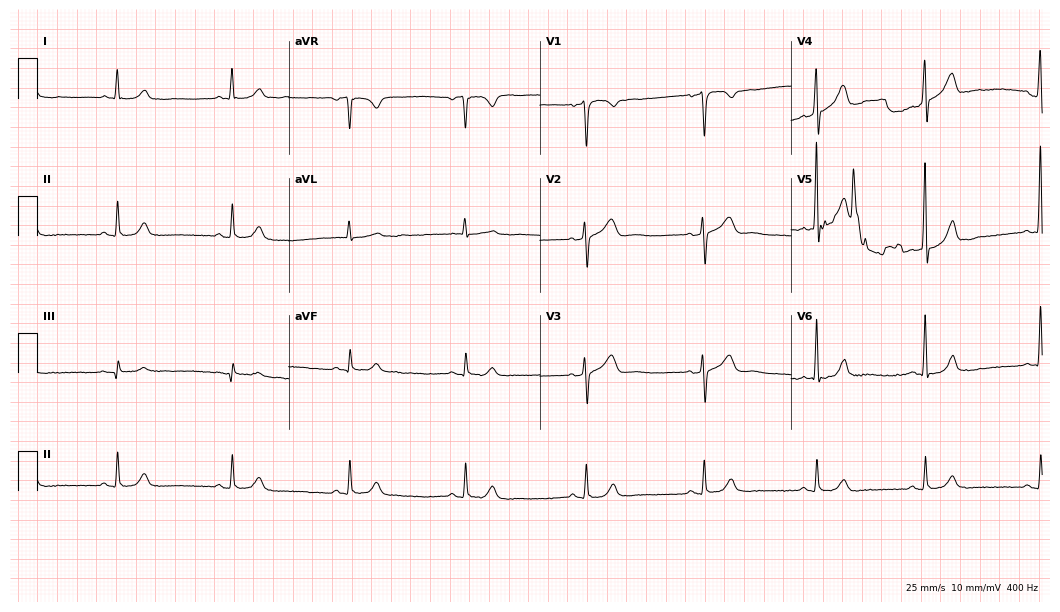
Electrocardiogram (10.2-second recording at 400 Hz), a 62-year-old man. Overall reading on record: normal ECG.